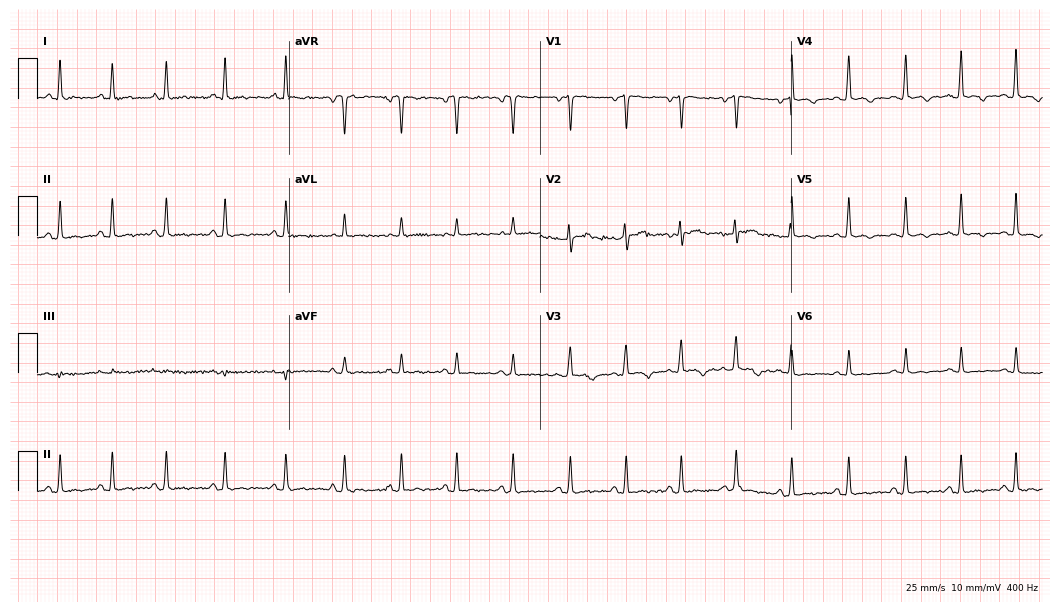
Resting 12-lead electrocardiogram (10.2-second recording at 400 Hz). Patient: a 30-year-old woman. None of these six findings is recorded: first-degree AV block, right bundle branch block, left bundle branch block, sinus bradycardia, atrial fibrillation, sinus tachycardia.